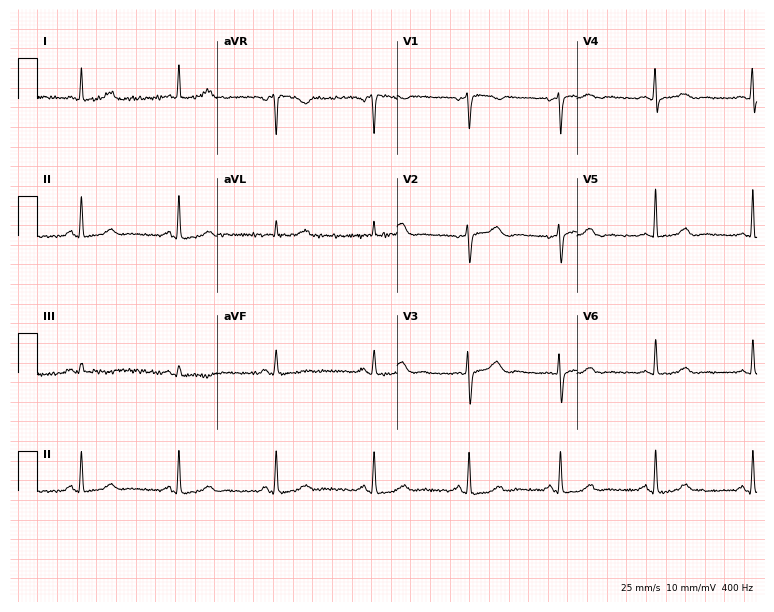
ECG — a 64-year-old female. Screened for six findings — first-degree AV block, right bundle branch block (RBBB), left bundle branch block (LBBB), sinus bradycardia, atrial fibrillation (AF), sinus tachycardia — none is recorded. Other findings, if any, are not listed.